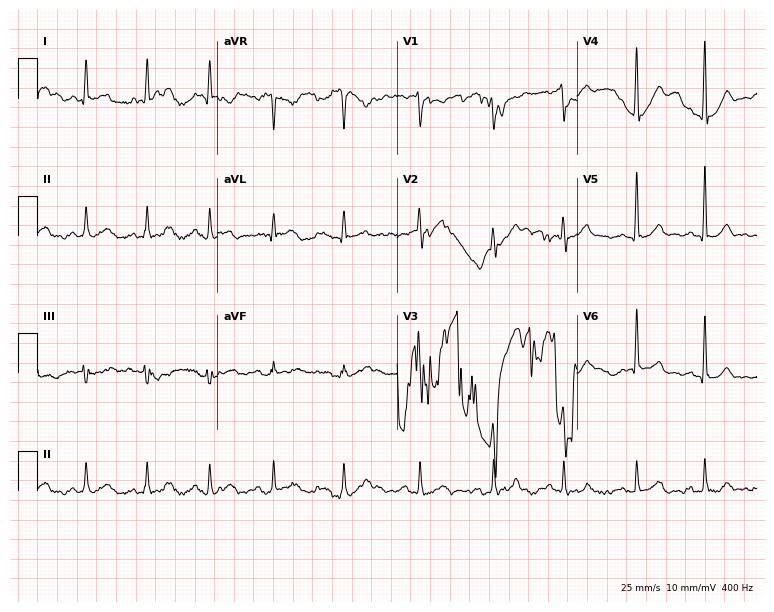
Electrocardiogram, a 41-year-old man. Overall reading on record: normal ECG.